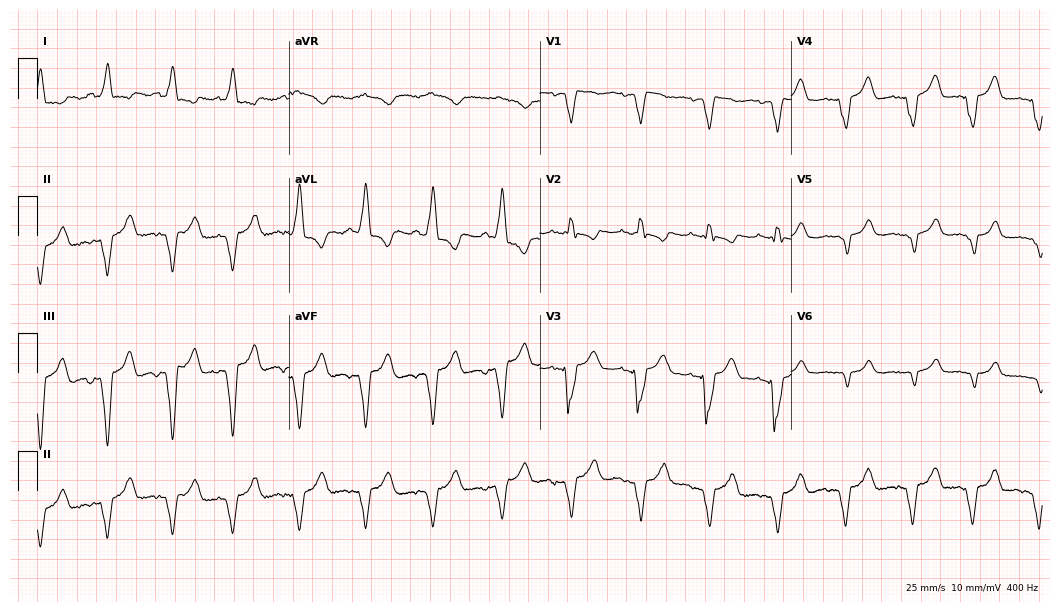
ECG (10.2-second recording at 400 Hz) — a female, 71 years old. Screened for six findings — first-degree AV block, right bundle branch block (RBBB), left bundle branch block (LBBB), sinus bradycardia, atrial fibrillation (AF), sinus tachycardia — none is recorded. Findings outside these six are not listed.